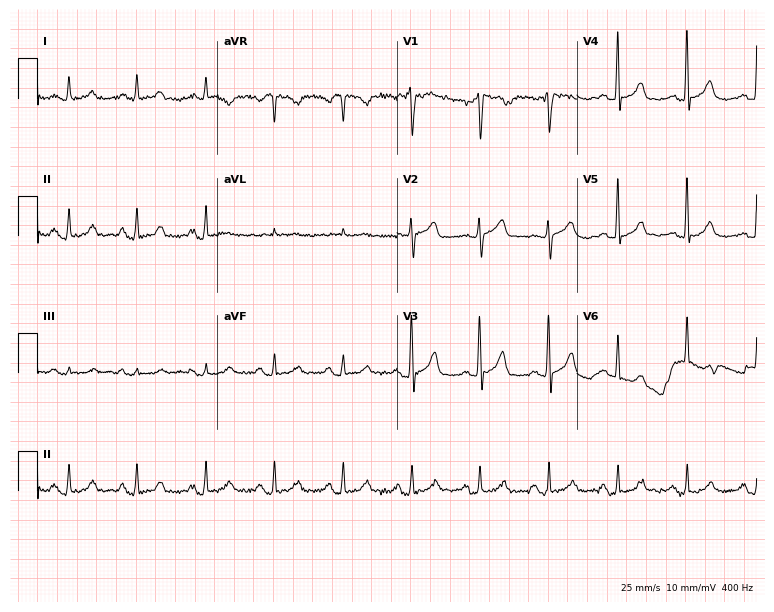
12-lead ECG from a 72-year-old man. Recorded interpretation: within normal limits.